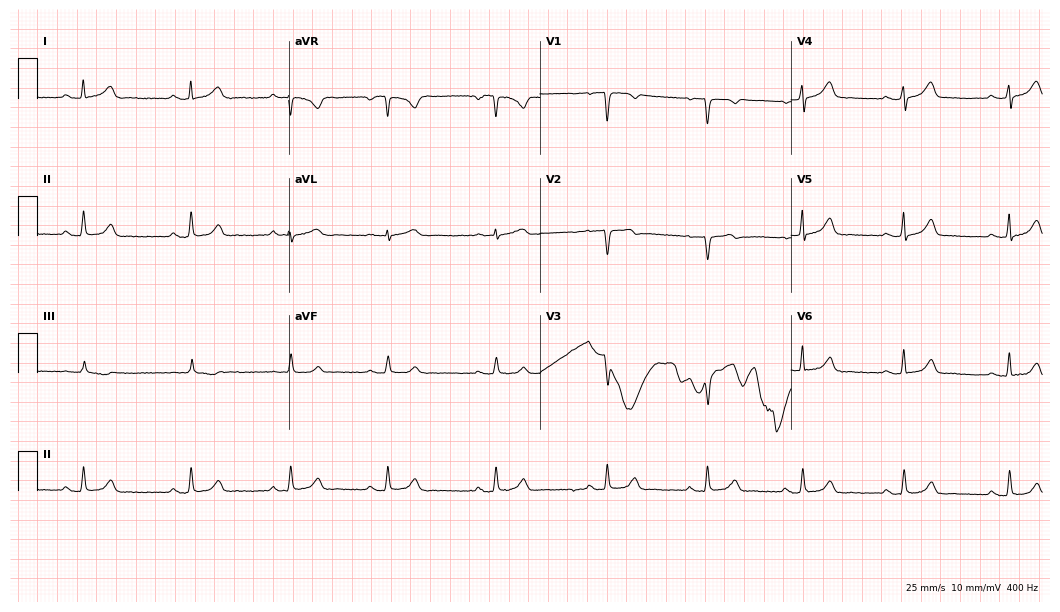
12-lead ECG (10.2-second recording at 400 Hz) from a woman, 47 years old. Screened for six findings — first-degree AV block, right bundle branch block, left bundle branch block, sinus bradycardia, atrial fibrillation, sinus tachycardia — none is recorded. Other findings, if any, are not listed.